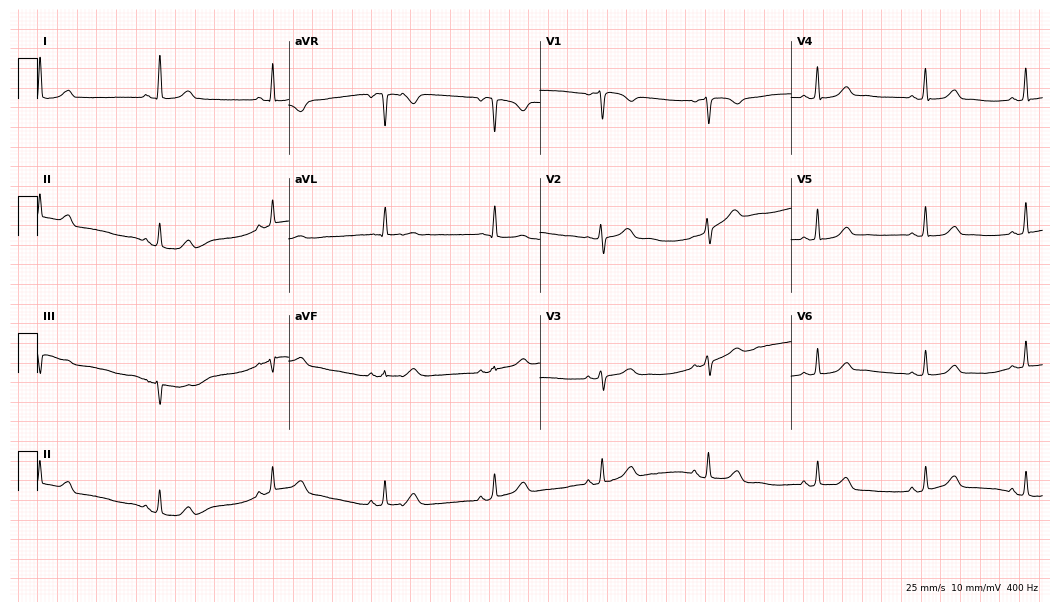
Resting 12-lead electrocardiogram. Patient: a 52-year-old female. Read as a normal ECG.